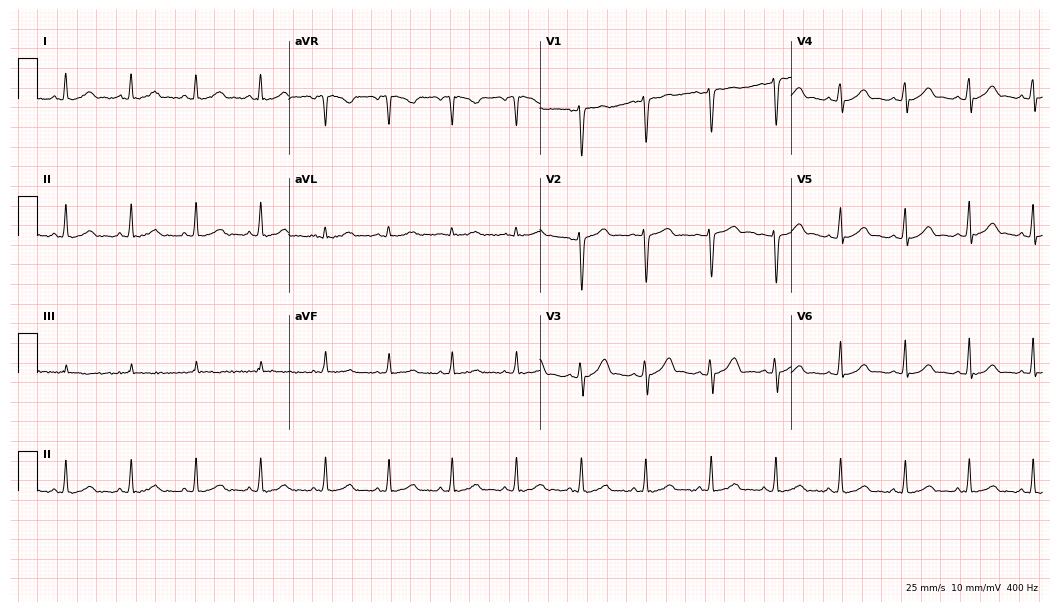
12-lead ECG from a woman, 32 years old. Labelled as a normal ECG.